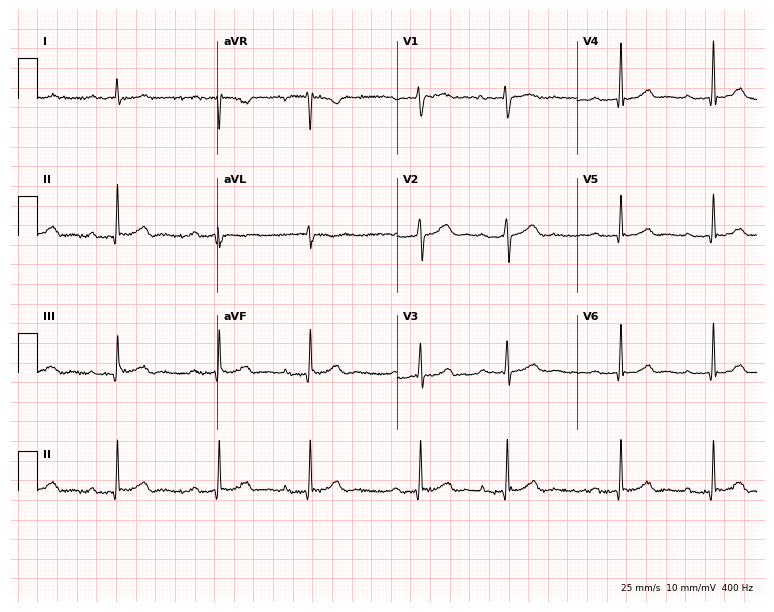
12-lead ECG from a 49-year-old woman. No first-degree AV block, right bundle branch block (RBBB), left bundle branch block (LBBB), sinus bradycardia, atrial fibrillation (AF) or sinus tachycardia recorded for this tracing. Only these six findings were labelled.